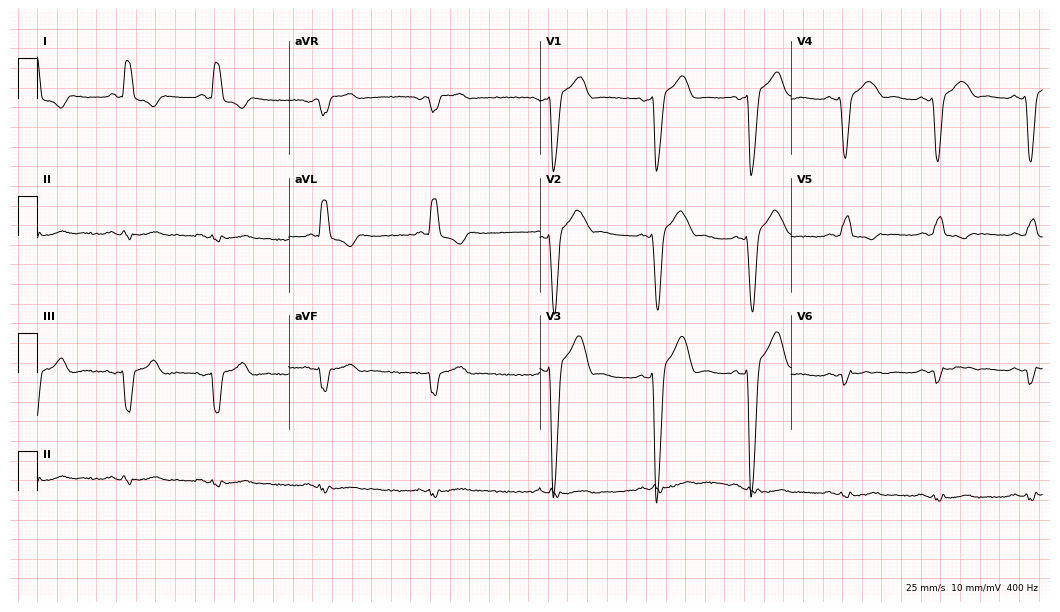
12-lead ECG (10.2-second recording at 400 Hz) from a male, 53 years old. Screened for six findings — first-degree AV block, right bundle branch block, left bundle branch block, sinus bradycardia, atrial fibrillation, sinus tachycardia — none is recorded.